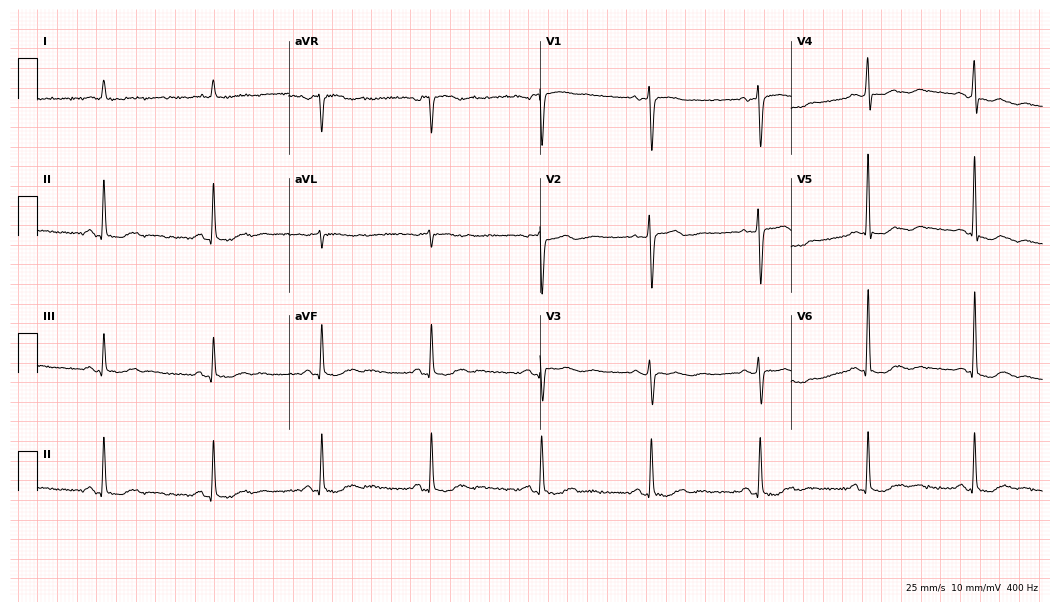
12-lead ECG from a 72-year-old female (10.2-second recording at 400 Hz). Recorded interpretation: within normal limits.